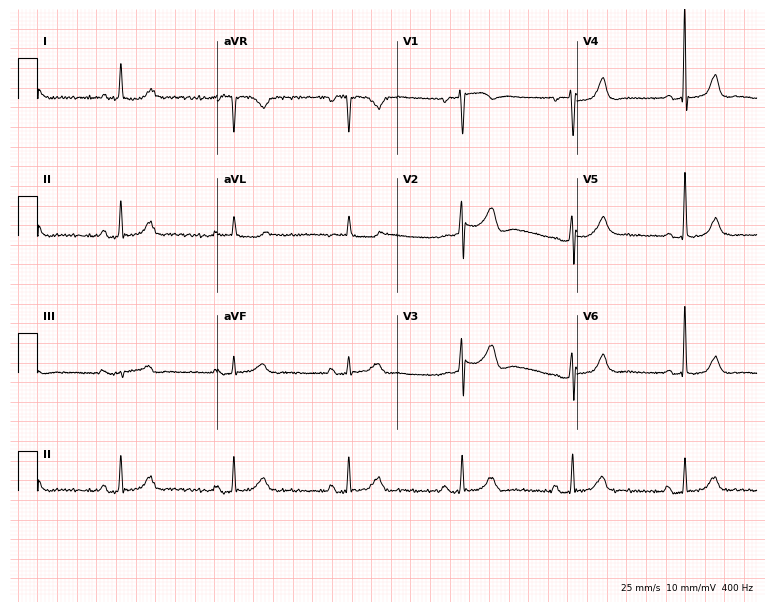
Resting 12-lead electrocardiogram. Patient: an 80-year-old female. None of these six findings is recorded: first-degree AV block, right bundle branch block, left bundle branch block, sinus bradycardia, atrial fibrillation, sinus tachycardia. Other findings, if any, are not listed.